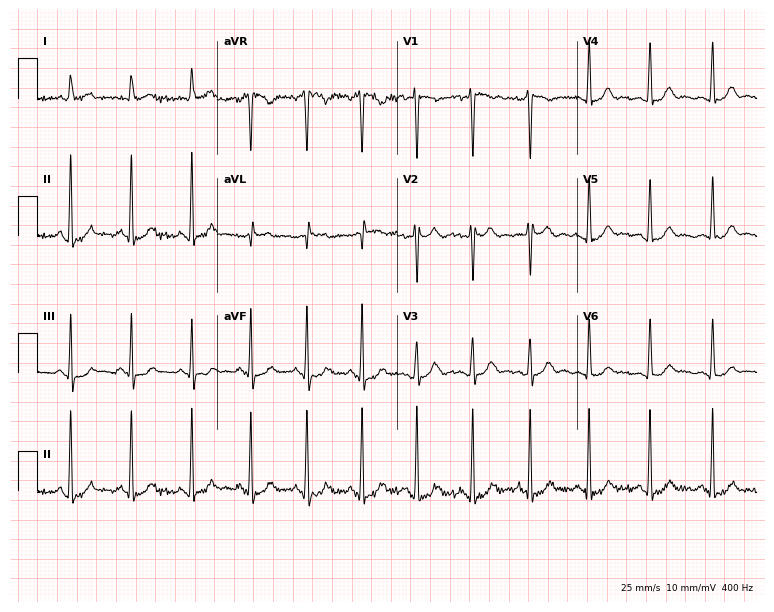
Electrocardiogram, a 20-year-old female. Interpretation includes sinus tachycardia (a sinus rate of 100 beats per minute or more).